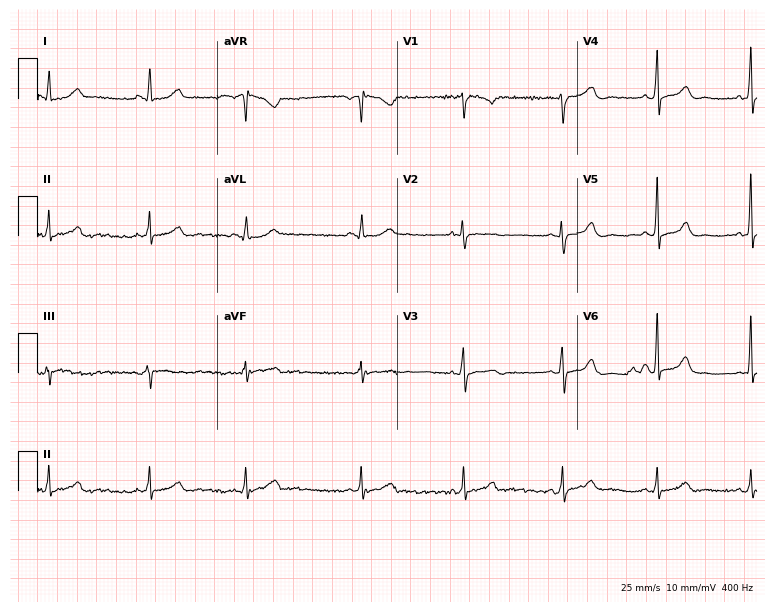
Standard 12-lead ECG recorded from a 33-year-old female patient. None of these six findings is recorded: first-degree AV block, right bundle branch block, left bundle branch block, sinus bradycardia, atrial fibrillation, sinus tachycardia. Findings outside these six are not listed.